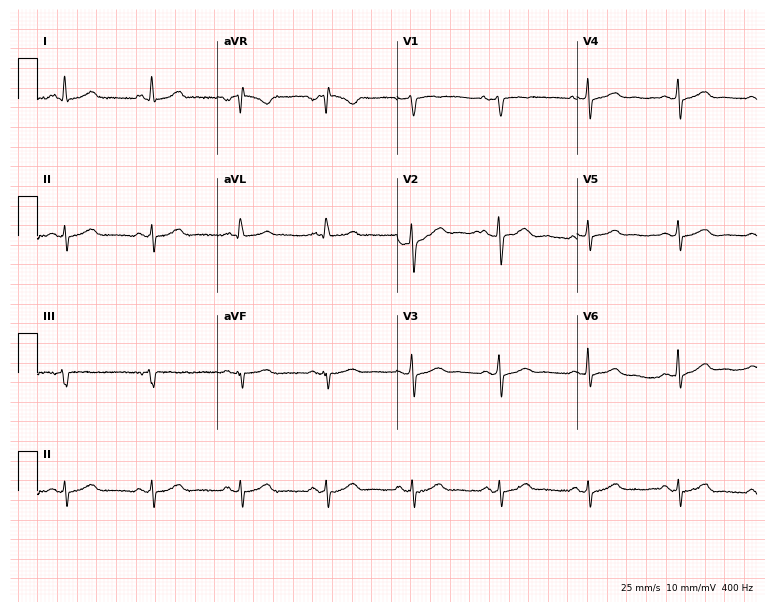
Electrocardiogram, a female, 63 years old. Overall reading on record: normal ECG.